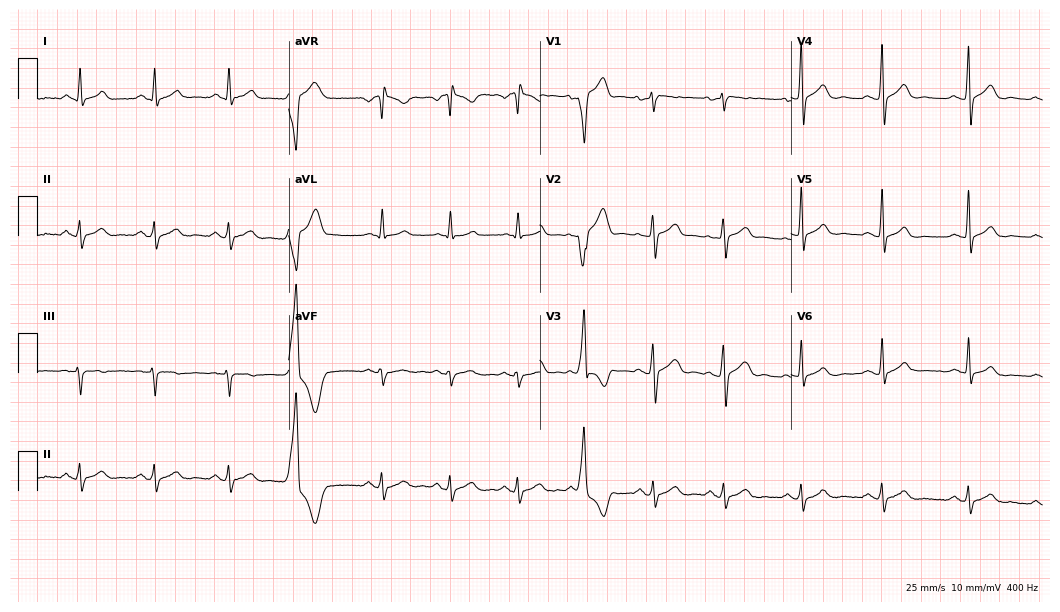
ECG — a 37-year-old male. Screened for six findings — first-degree AV block, right bundle branch block, left bundle branch block, sinus bradycardia, atrial fibrillation, sinus tachycardia — none is recorded. Findings outside these six are not listed.